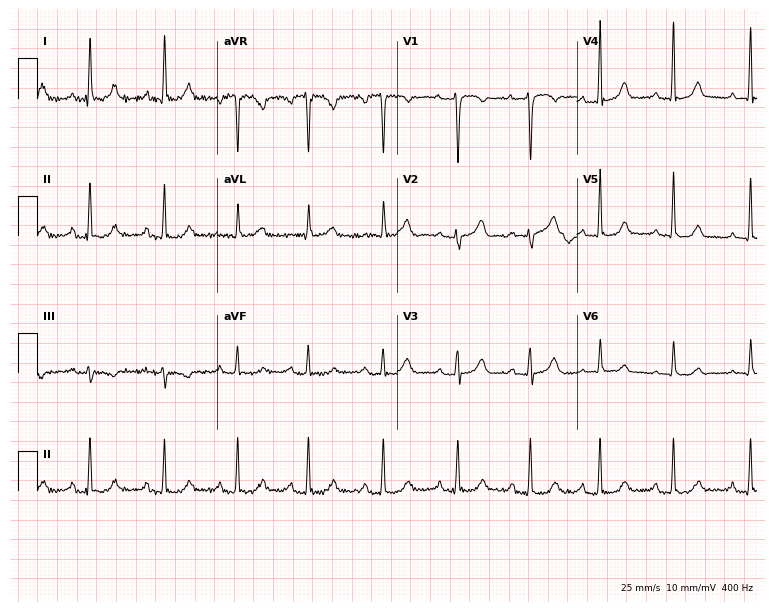
12-lead ECG from a 55-year-old female. No first-degree AV block, right bundle branch block, left bundle branch block, sinus bradycardia, atrial fibrillation or sinus tachycardia recorded for this tracing.